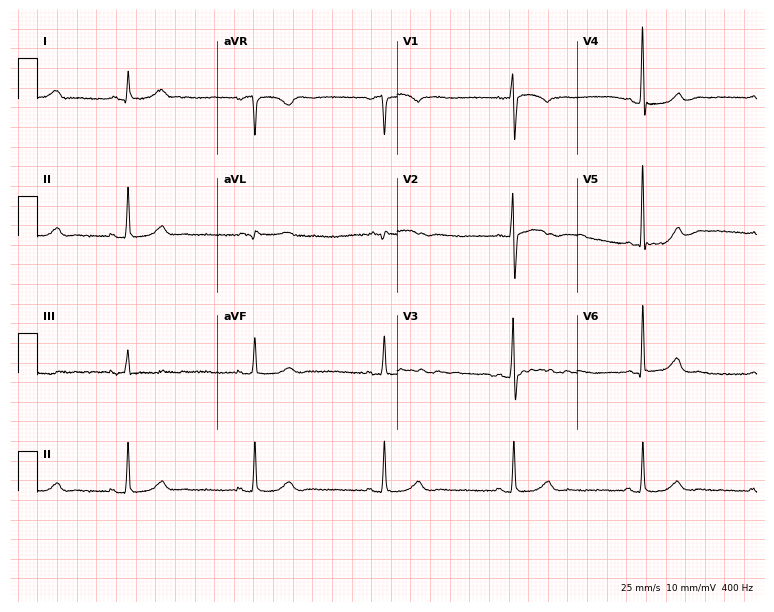
ECG (7.3-second recording at 400 Hz) — a female, 53 years old. Findings include sinus bradycardia (a sinus rate of 50 beats per minute or less).